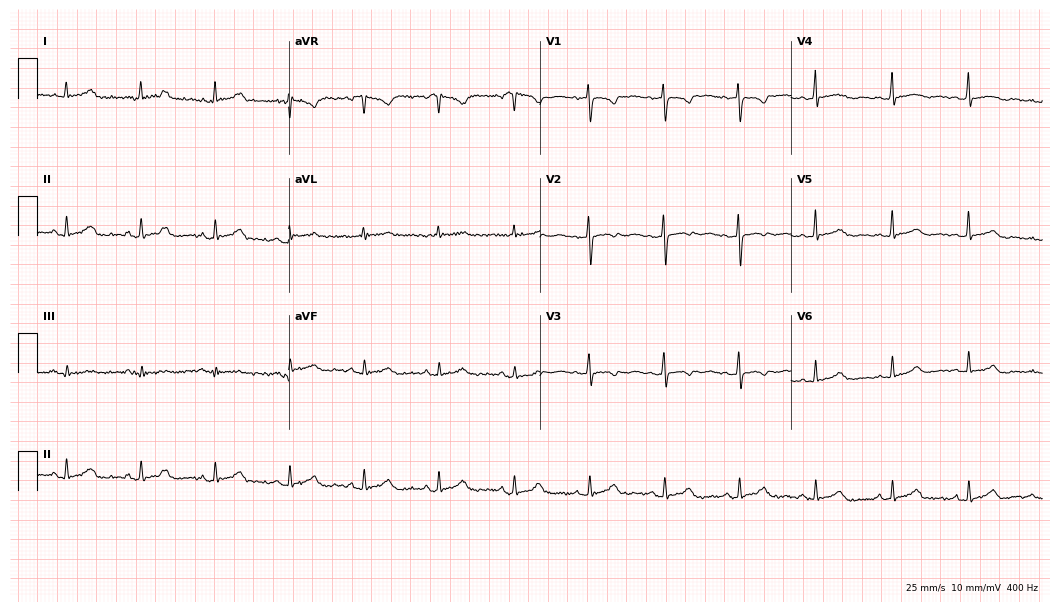
12-lead ECG (10.2-second recording at 400 Hz) from a woman, 43 years old. Labelled as a normal ECG.